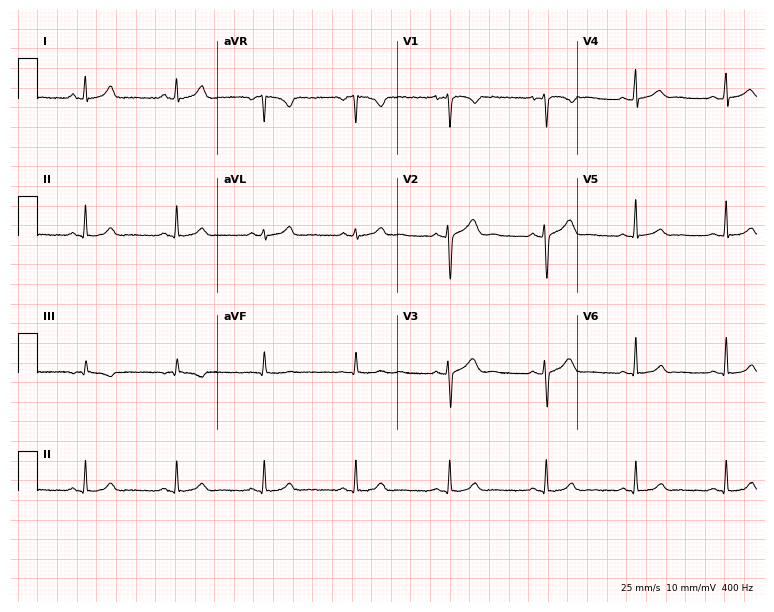
12-lead ECG from a female, 27 years old. Screened for six findings — first-degree AV block, right bundle branch block, left bundle branch block, sinus bradycardia, atrial fibrillation, sinus tachycardia — none is recorded.